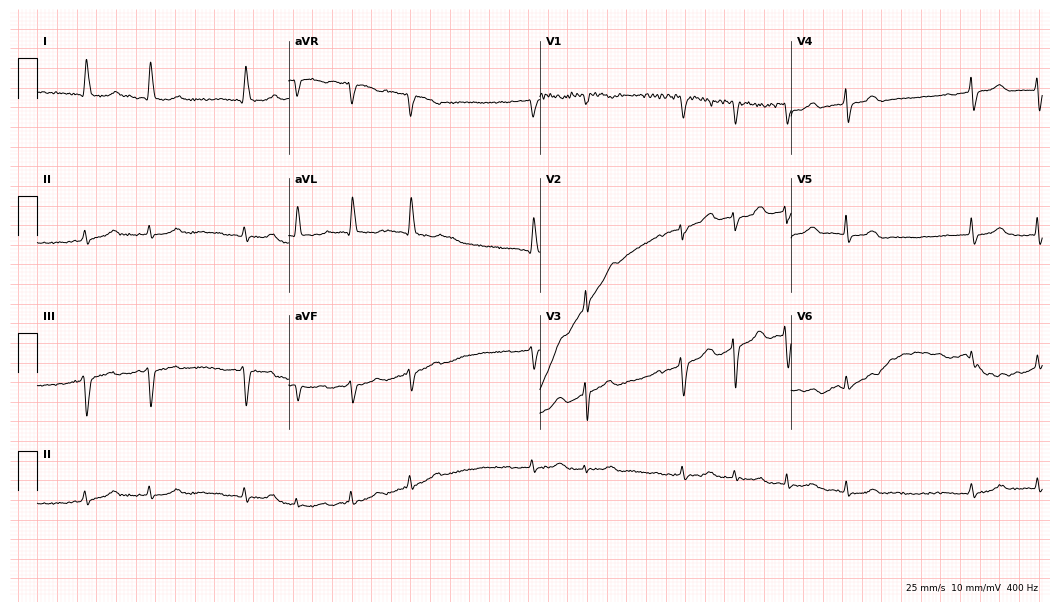
12-lead ECG from a female patient, 85 years old. Findings include atrial fibrillation (AF).